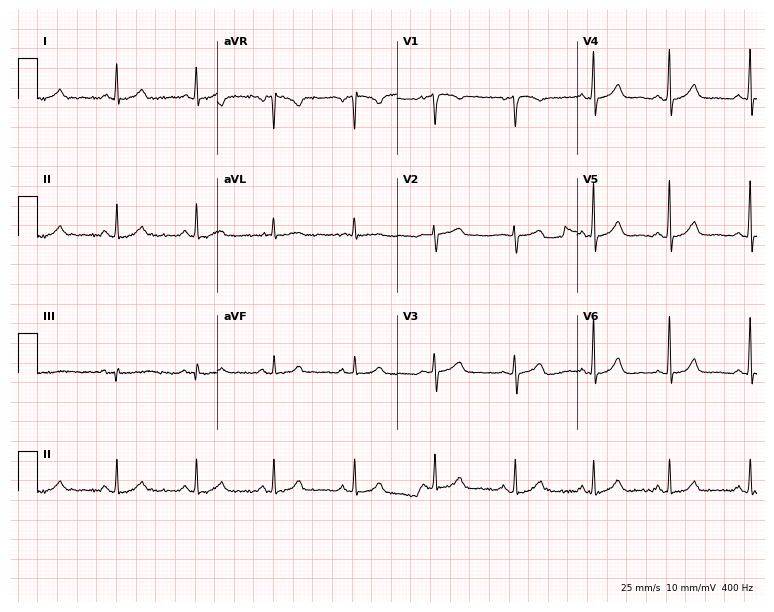
ECG (7.3-second recording at 400 Hz) — a 50-year-old female patient. Labelled as a normal ECG.